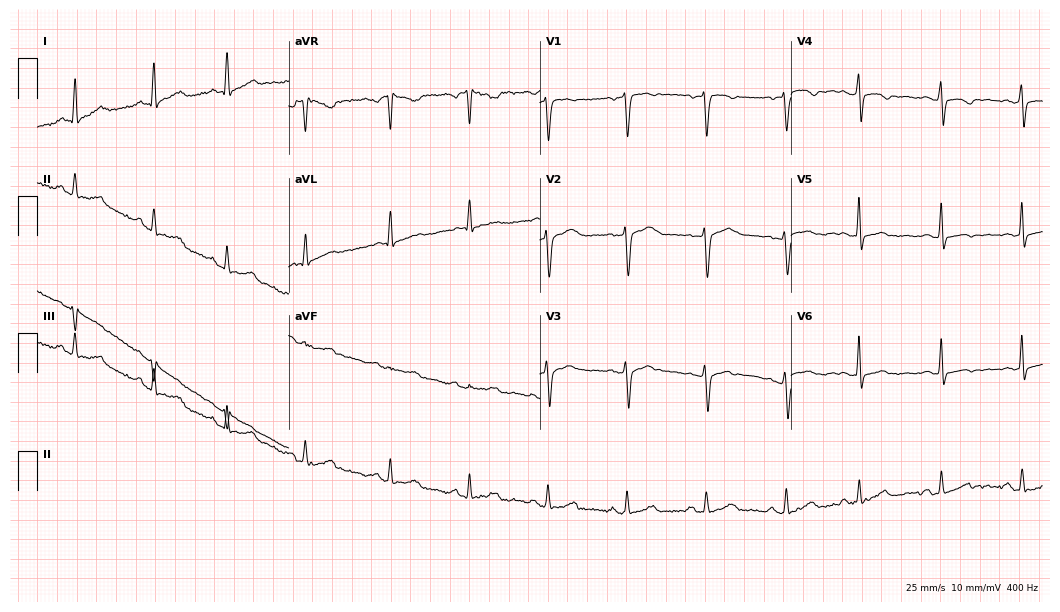
Resting 12-lead electrocardiogram (10.2-second recording at 400 Hz). Patient: a female, 48 years old. None of these six findings is recorded: first-degree AV block, right bundle branch block, left bundle branch block, sinus bradycardia, atrial fibrillation, sinus tachycardia.